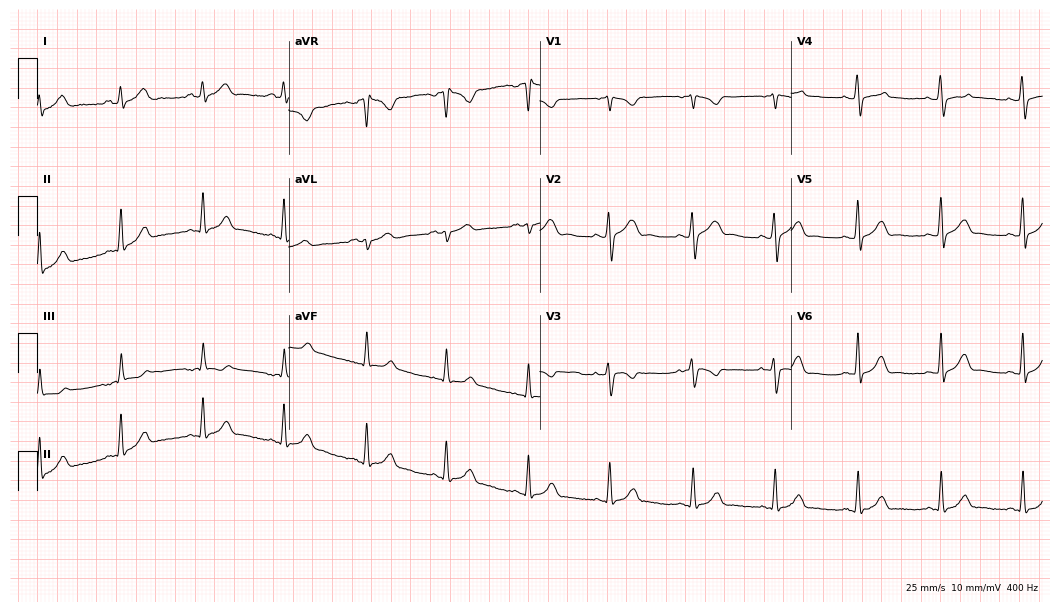
ECG — a female patient, 27 years old. Labelled as a normal ECG.